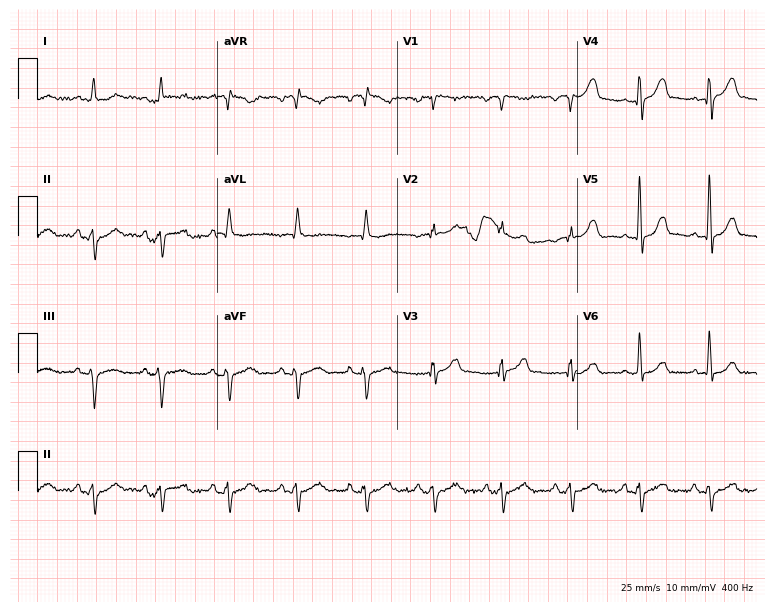
12-lead ECG from a 72-year-old male. No first-degree AV block, right bundle branch block, left bundle branch block, sinus bradycardia, atrial fibrillation or sinus tachycardia recorded for this tracing.